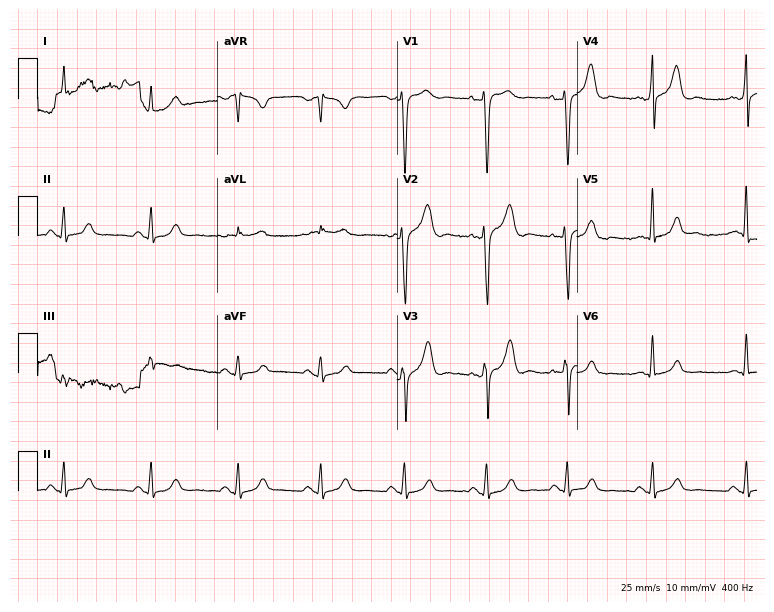
Standard 12-lead ECG recorded from a 51-year-old male. None of these six findings is recorded: first-degree AV block, right bundle branch block, left bundle branch block, sinus bradycardia, atrial fibrillation, sinus tachycardia.